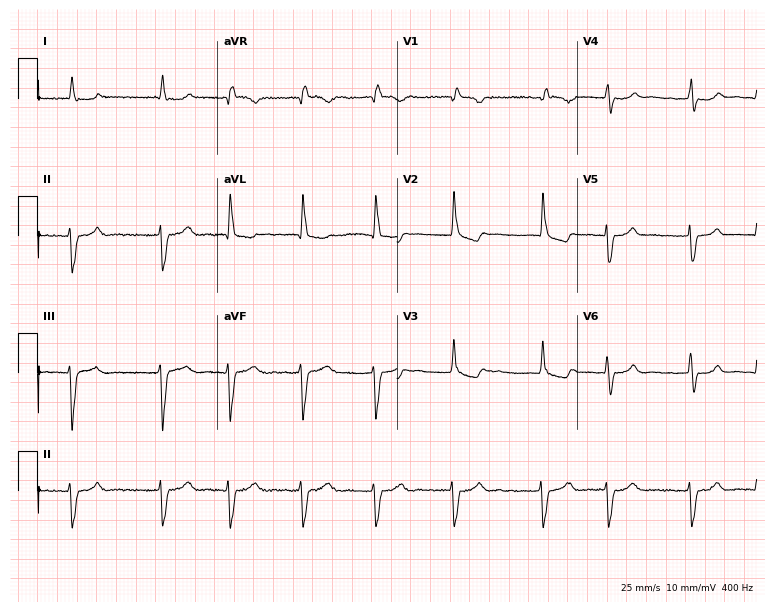
ECG (7.3-second recording at 400 Hz) — a female patient, 68 years old. Findings include atrial fibrillation.